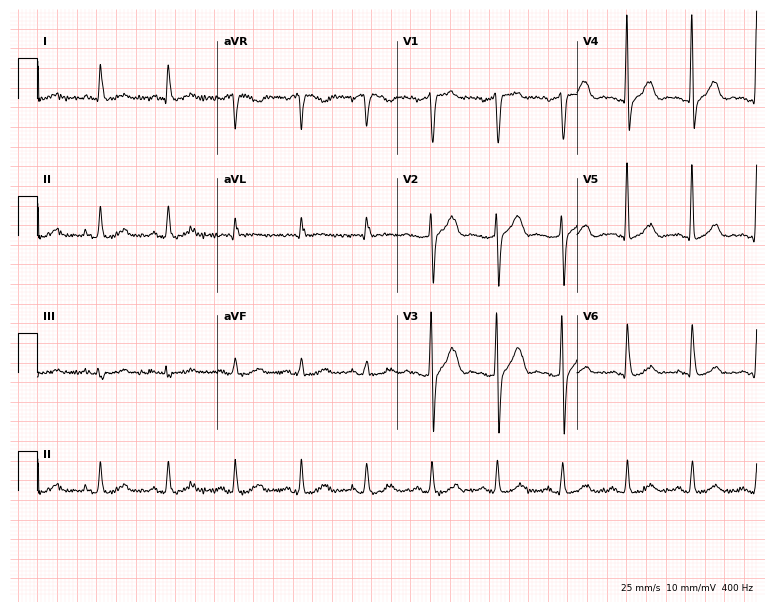
ECG — a female patient, 47 years old. Labelled as a normal ECG.